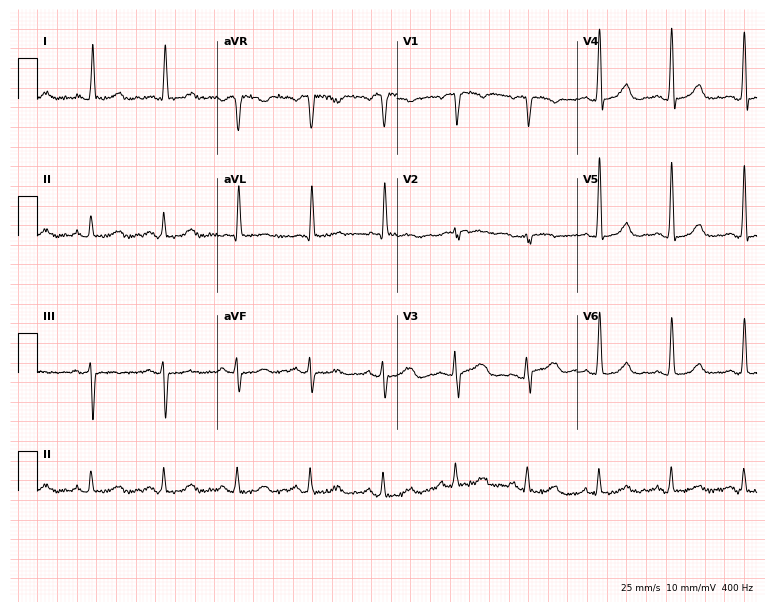
12-lead ECG from an 84-year-old female patient. Labelled as a normal ECG.